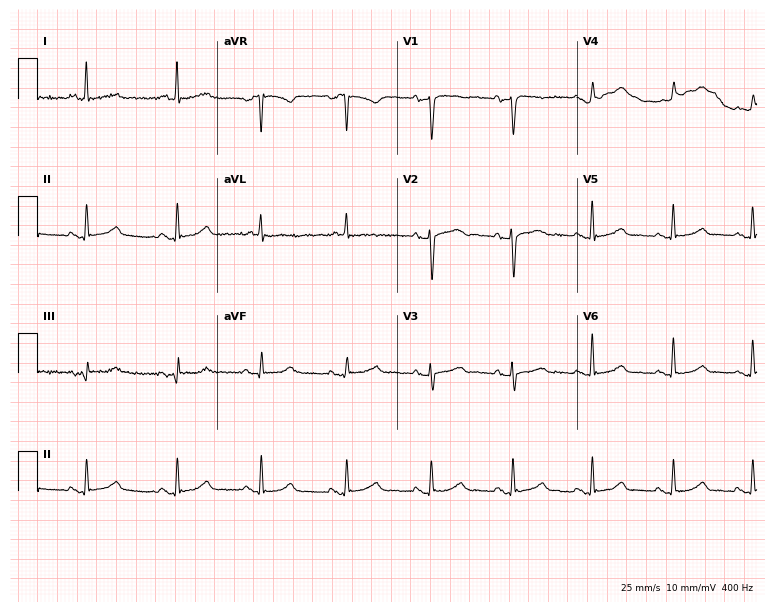
Resting 12-lead electrocardiogram. Patient: a female, 60 years old. Read as a normal ECG.